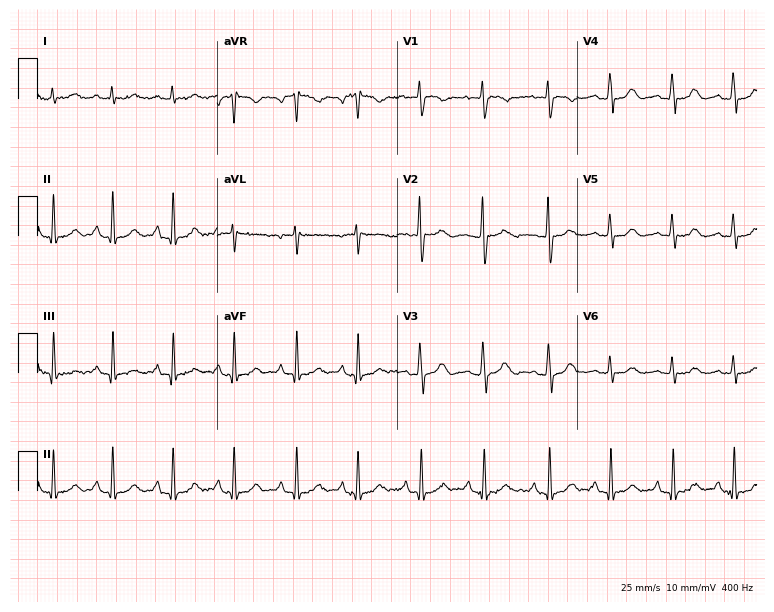
Standard 12-lead ECG recorded from a 26-year-old woman (7.3-second recording at 400 Hz). Read as a normal ECG.